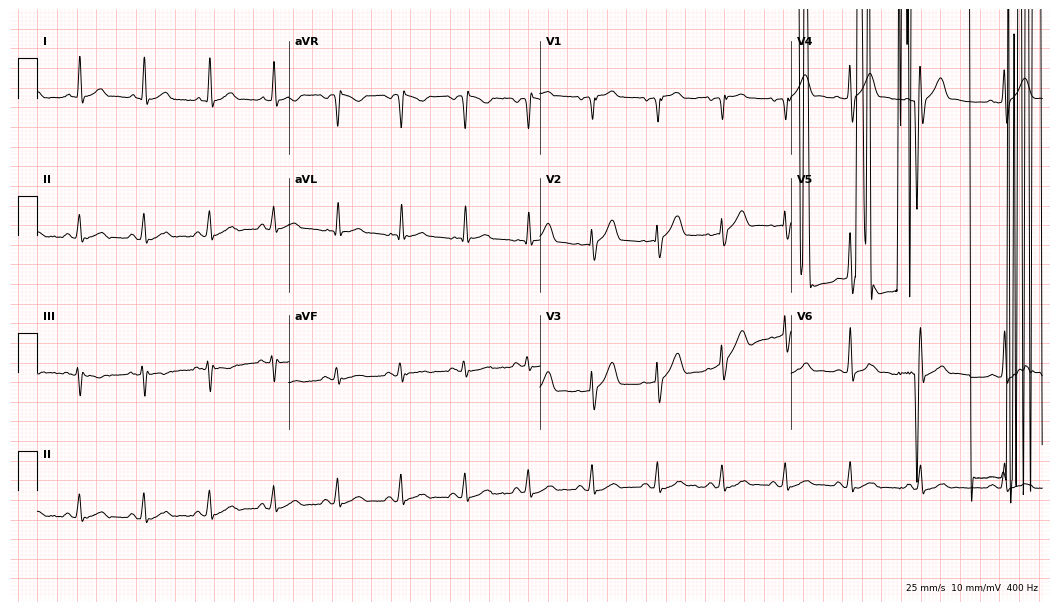
ECG (10.2-second recording at 400 Hz) — a male patient, 43 years old. Screened for six findings — first-degree AV block, right bundle branch block (RBBB), left bundle branch block (LBBB), sinus bradycardia, atrial fibrillation (AF), sinus tachycardia — none is recorded.